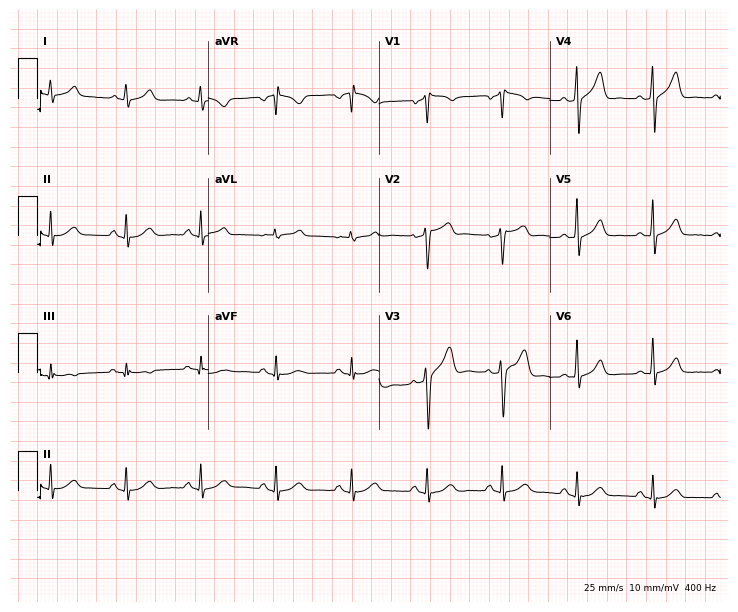
Standard 12-lead ECG recorded from a 60-year-old male patient (7-second recording at 400 Hz). None of these six findings is recorded: first-degree AV block, right bundle branch block, left bundle branch block, sinus bradycardia, atrial fibrillation, sinus tachycardia.